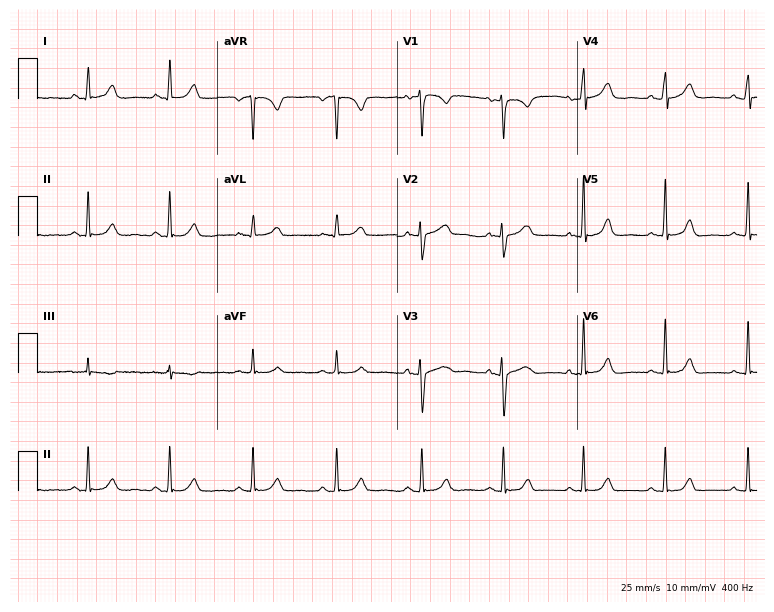
12-lead ECG from a 42-year-old woman. Recorded interpretation: within normal limits.